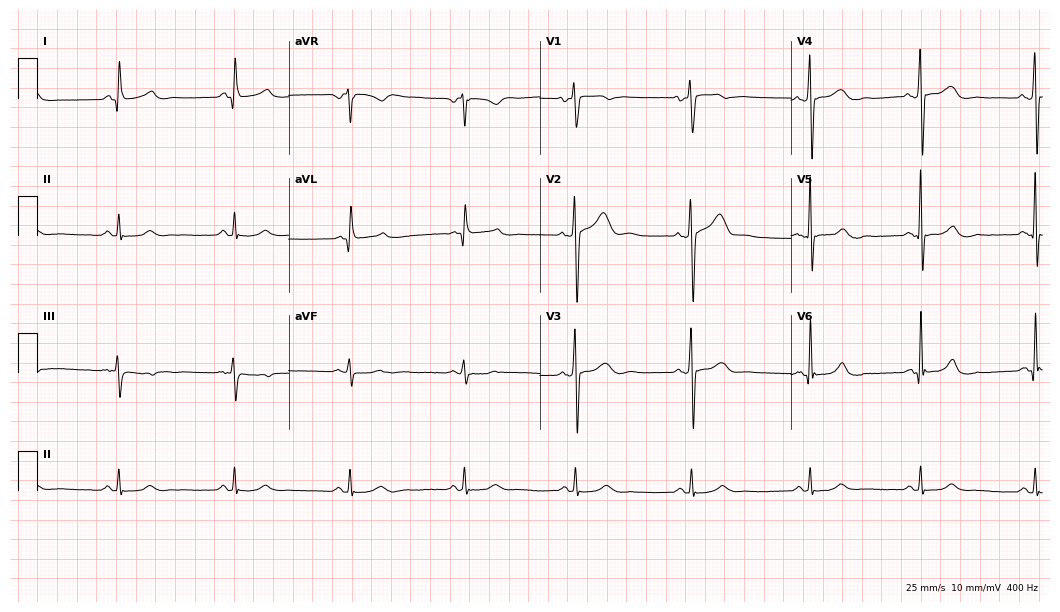
ECG (10.2-second recording at 400 Hz) — a 60-year-old man. Screened for six findings — first-degree AV block, right bundle branch block, left bundle branch block, sinus bradycardia, atrial fibrillation, sinus tachycardia — none is recorded. Other findings, if any, are not listed.